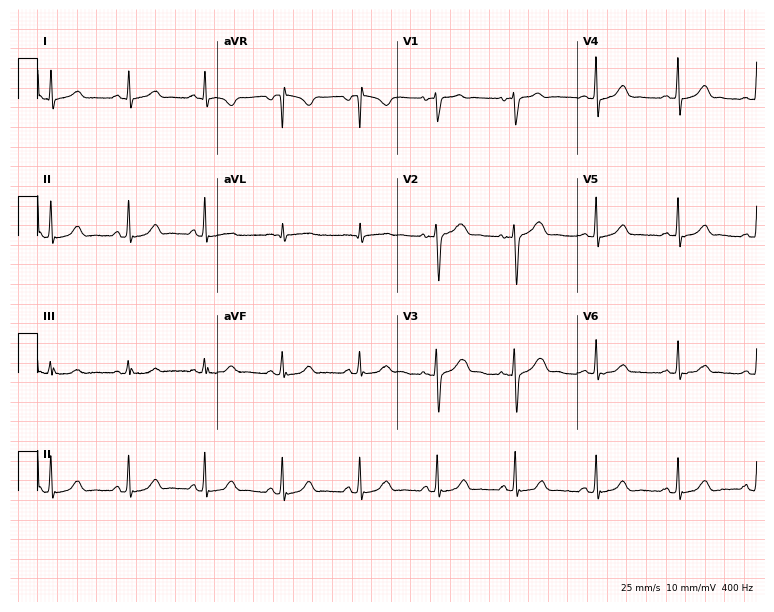
12-lead ECG from a 39-year-old female patient. Labelled as a normal ECG.